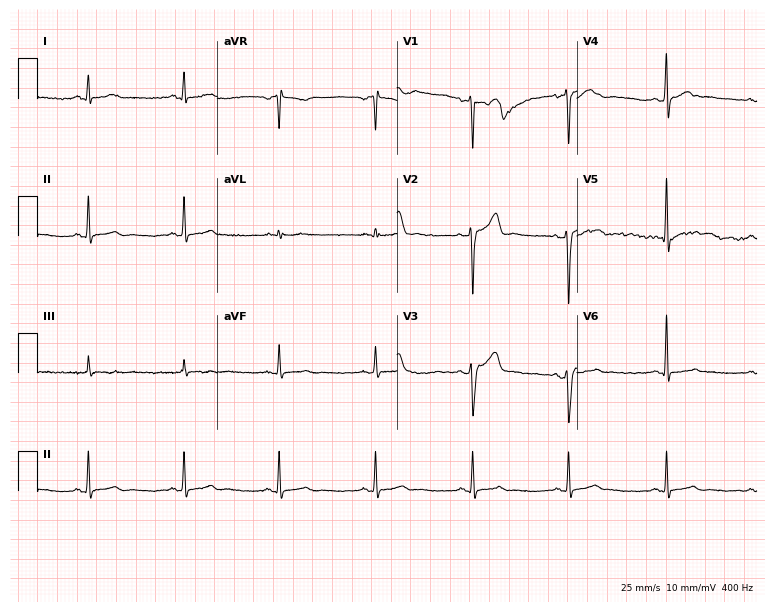
Standard 12-lead ECG recorded from a 34-year-old male. None of these six findings is recorded: first-degree AV block, right bundle branch block (RBBB), left bundle branch block (LBBB), sinus bradycardia, atrial fibrillation (AF), sinus tachycardia.